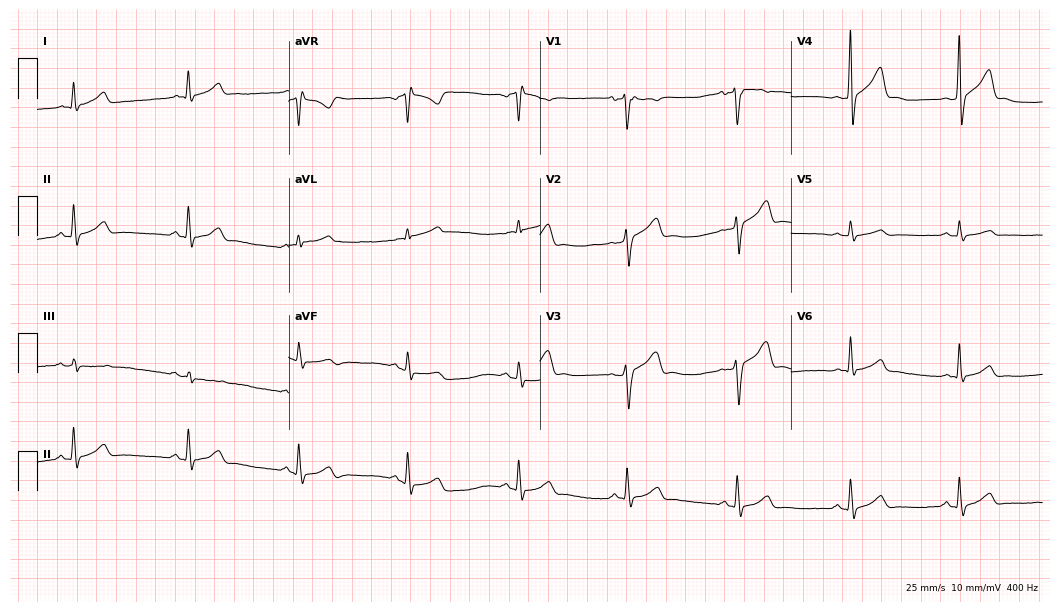
Resting 12-lead electrocardiogram. Patient: a male, 29 years old. None of these six findings is recorded: first-degree AV block, right bundle branch block, left bundle branch block, sinus bradycardia, atrial fibrillation, sinus tachycardia. Only these six findings were labelled.